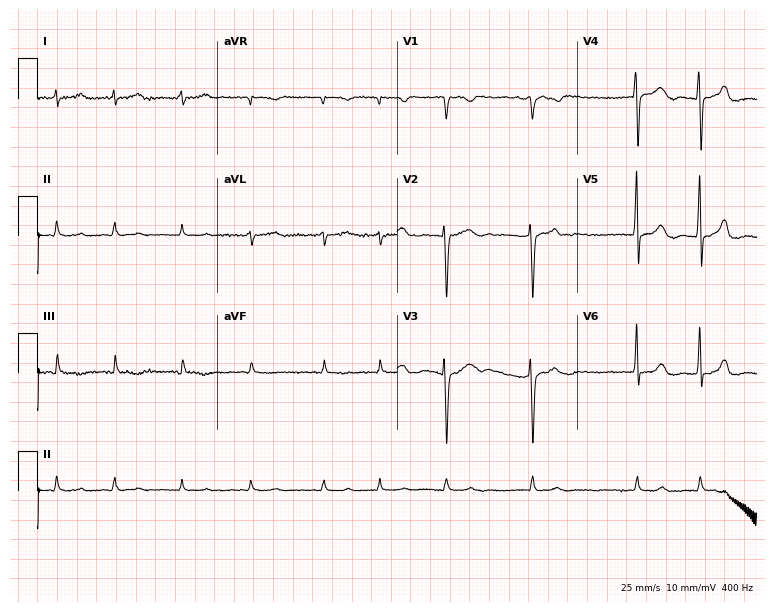
Resting 12-lead electrocardiogram. Patient: a woman, 72 years old. The tracing shows atrial fibrillation.